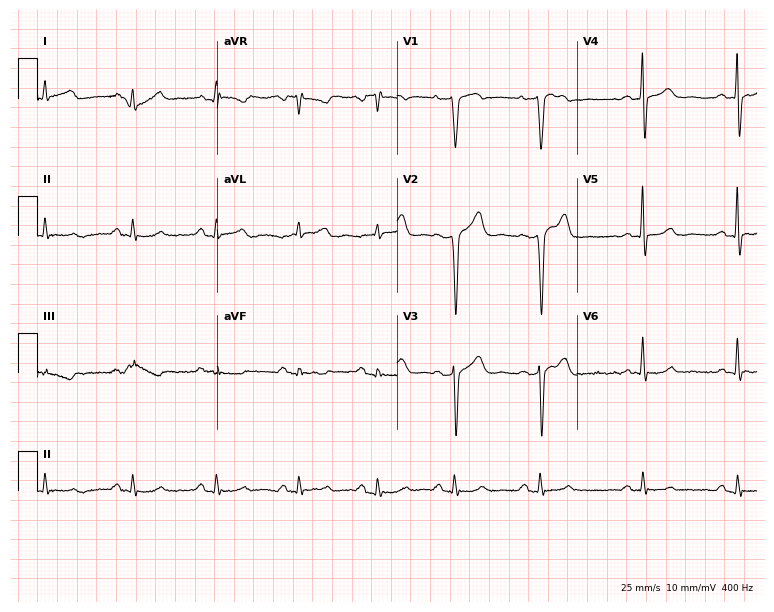
12-lead ECG from a 45-year-old male patient (7.3-second recording at 400 Hz). No first-degree AV block, right bundle branch block (RBBB), left bundle branch block (LBBB), sinus bradycardia, atrial fibrillation (AF) or sinus tachycardia recorded for this tracing. Other findings, if any, are not listed.